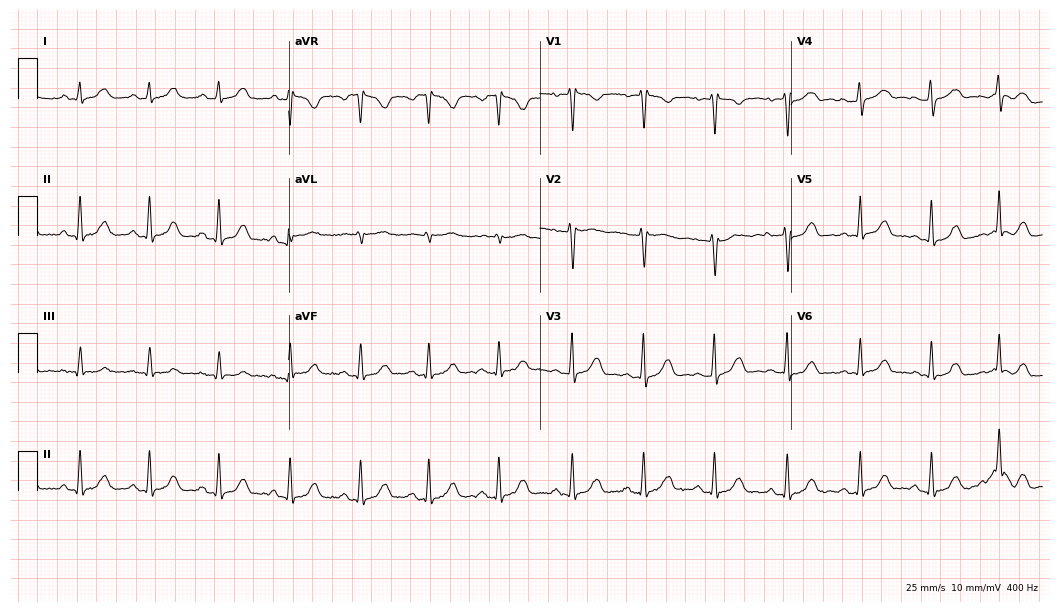
Standard 12-lead ECG recorded from a woman, 32 years old. Read as a normal ECG.